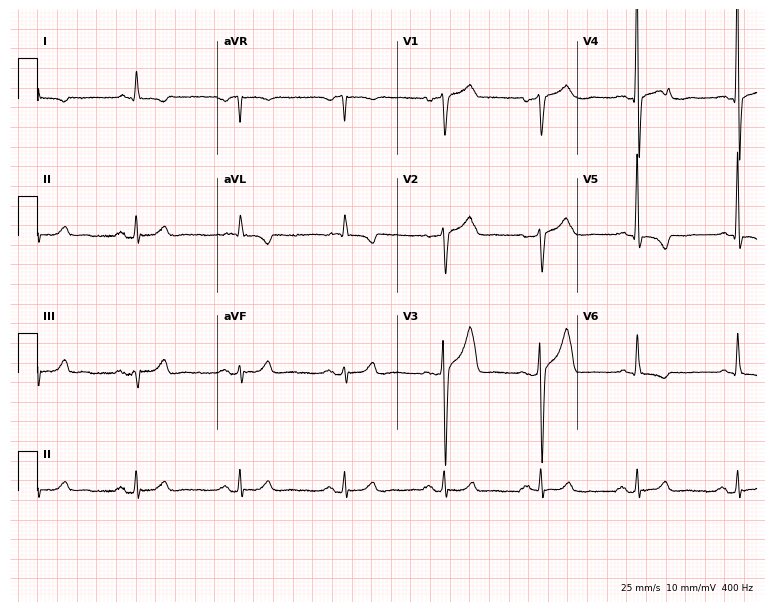
Electrocardiogram (7.3-second recording at 400 Hz), a man, 51 years old. Overall reading on record: normal ECG.